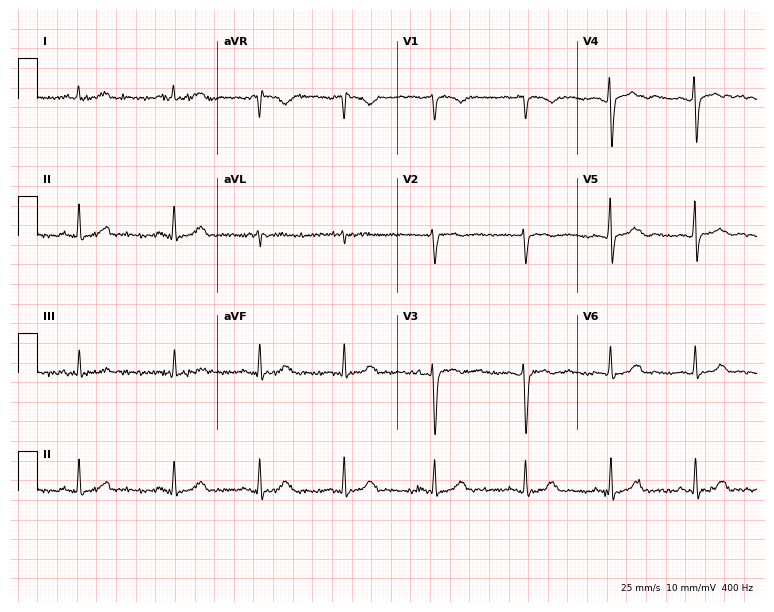
Resting 12-lead electrocardiogram. Patient: a 24-year-old female. Read as a normal ECG.